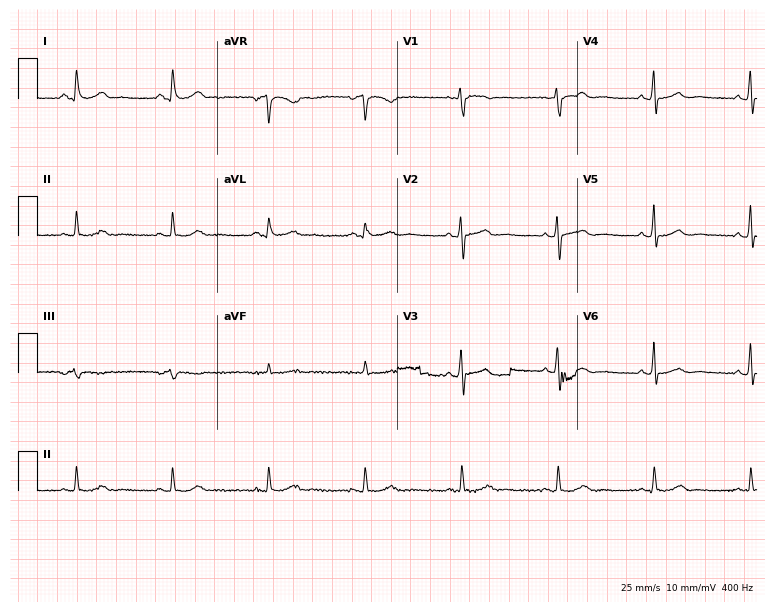
Electrocardiogram, a male patient, 50 years old. Of the six screened findings (first-degree AV block, right bundle branch block, left bundle branch block, sinus bradycardia, atrial fibrillation, sinus tachycardia), none is recorded. Findings outside these six are not listed.